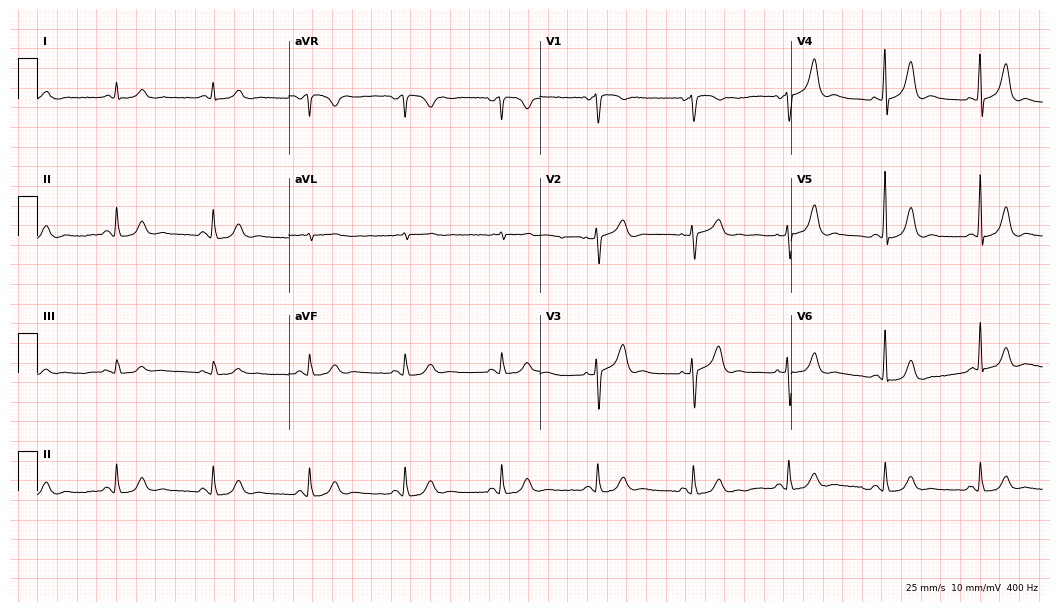
12-lead ECG from a 66-year-old male patient (10.2-second recording at 400 Hz). Recorded interpretation: within normal limits.